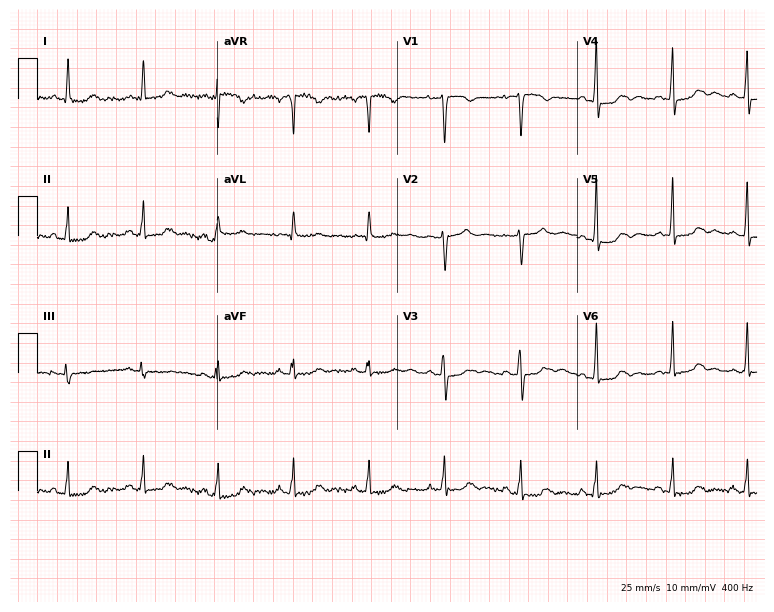
Resting 12-lead electrocardiogram. Patient: a female, 57 years old. None of these six findings is recorded: first-degree AV block, right bundle branch block (RBBB), left bundle branch block (LBBB), sinus bradycardia, atrial fibrillation (AF), sinus tachycardia. Only these six findings were labelled.